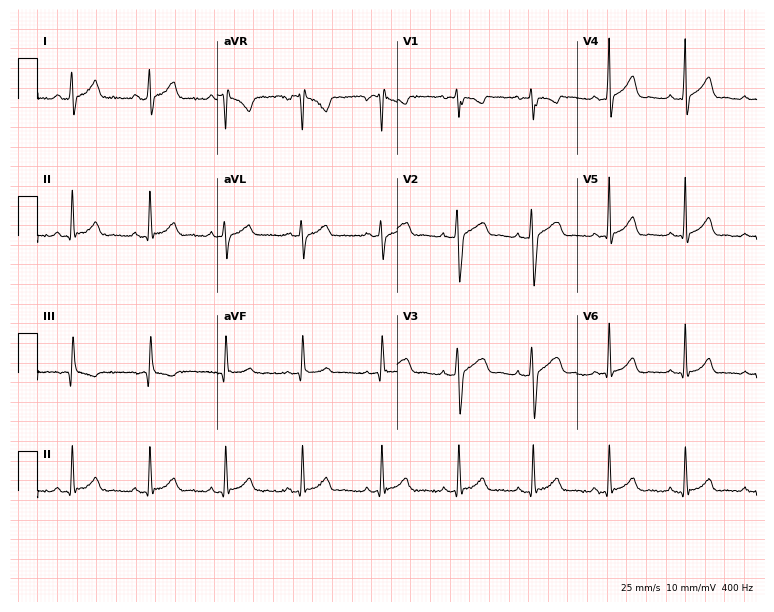
12-lead ECG (7.3-second recording at 400 Hz) from a 26-year-old female. Labelled as a normal ECG.